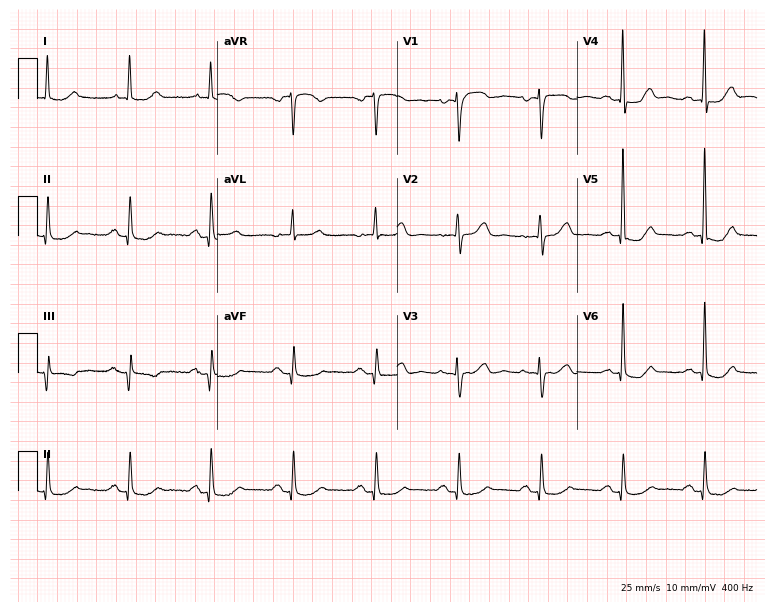
ECG — an 80-year-old female patient. Screened for six findings — first-degree AV block, right bundle branch block, left bundle branch block, sinus bradycardia, atrial fibrillation, sinus tachycardia — none is recorded. Findings outside these six are not listed.